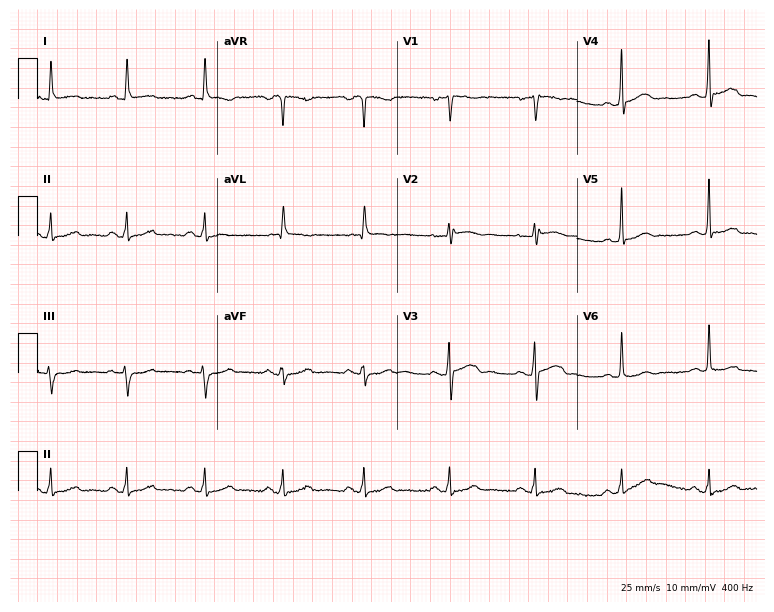
12-lead ECG from a 49-year-old female patient. No first-degree AV block, right bundle branch block (RBBB), left bundle branch block (LBBB), sinus bradycardia, atrial fibrillation (AF) or sinus tachycardia recorded for this tracing.